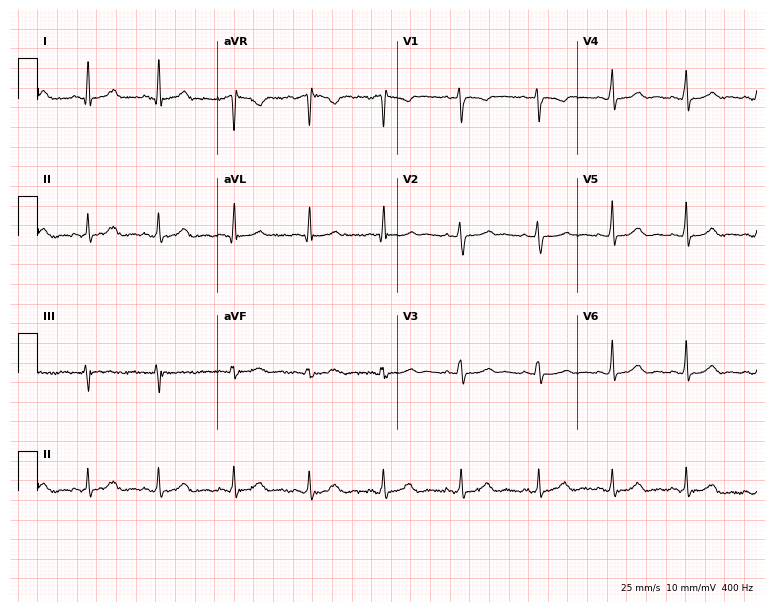
12-lead ECG from a 30-year-old female patient (7.3-second recording at 400 Hz). Recorded interpretation: within normal limits.